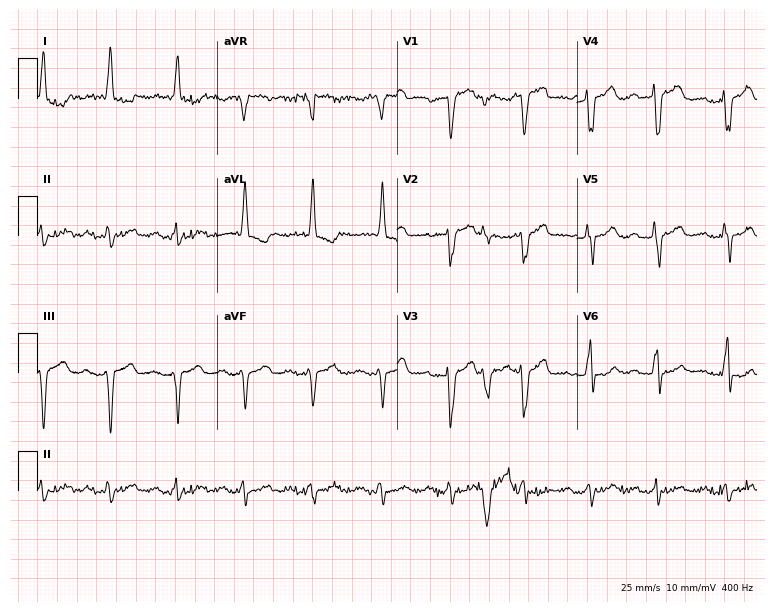
Electrocardiogram (7.3-second recording at 400 Hz), a male patient, 77 years old. Interpretation includes left bundle branch block (LBBB).